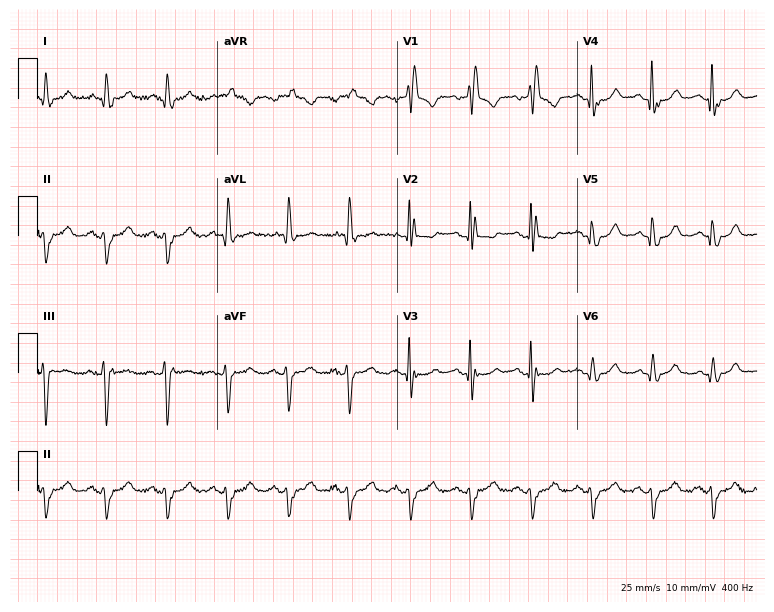
12-lead ECG (7.3-second recording at 400 Hz) from a female, 81 years old. Findings include right bundle branch block.